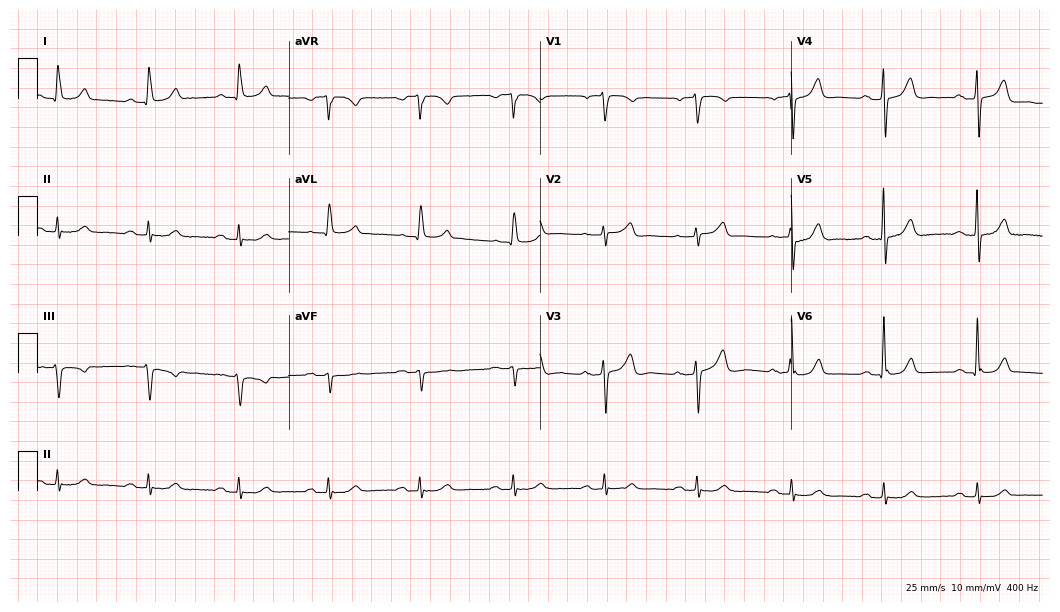
12-lead ECG from a 74-year-old male. Labelled as a normal ECG.